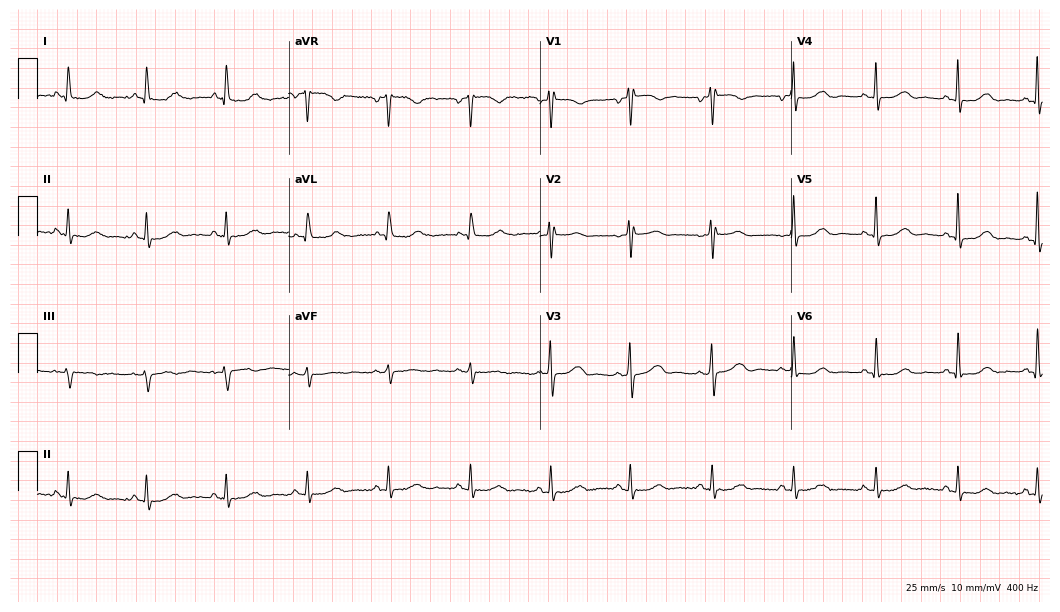
Resting 12-lead electrocardiogram. Patient: a female, 65 years old. Read as a normal ECG.